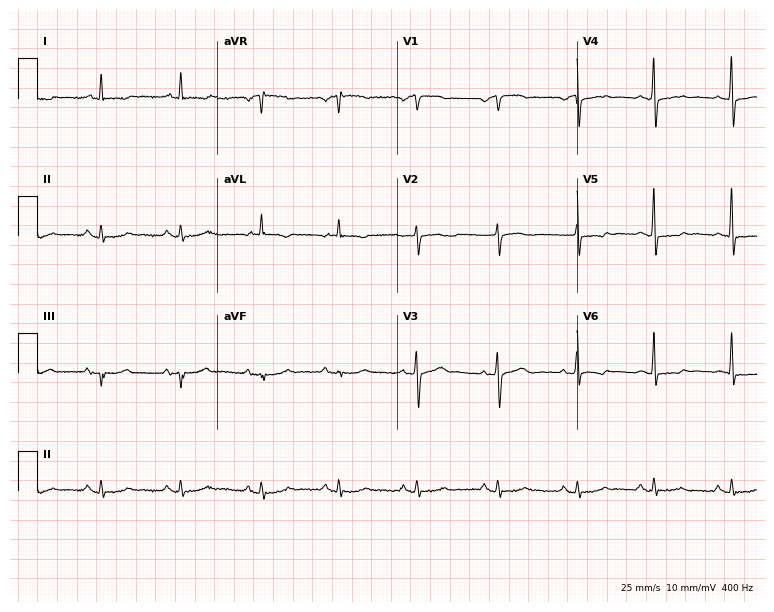
Resting 12-lead electrocardiogram (7.3-second recording at 400 Hz). Patient: a male, 80 years old. None of these six findings is recorded: first-degree AV block, right bundle branch block, left bundle branch block, sinus bradycardia, atrial fibrillation, sinus tachycardia.